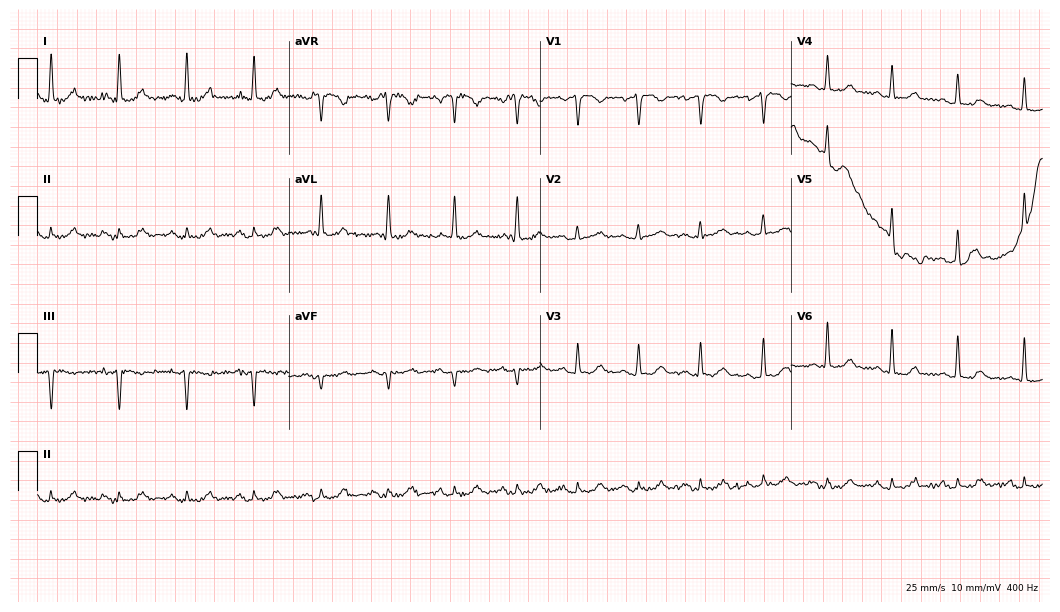
12-lead ECG from a male patient, 70 years old. Labelled as a normal ECG.